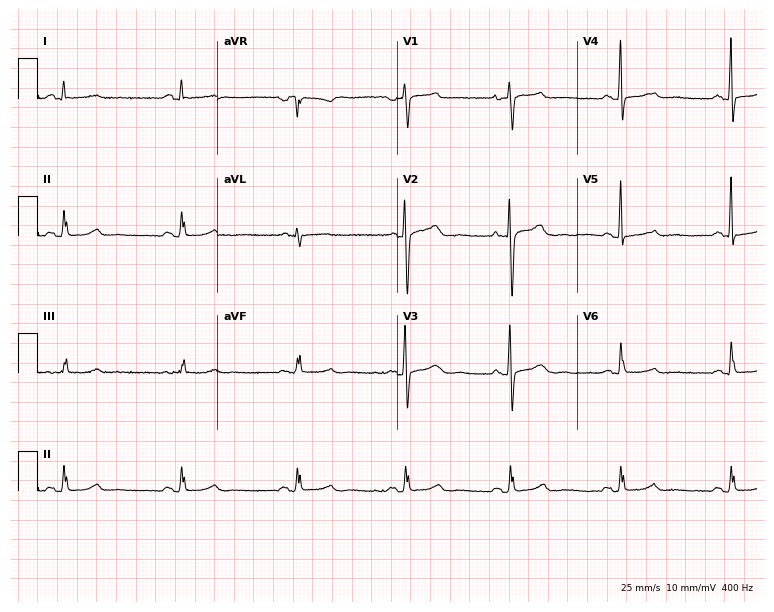
ECG — a female patient, 63 years old. Labelled as a normal ECG.